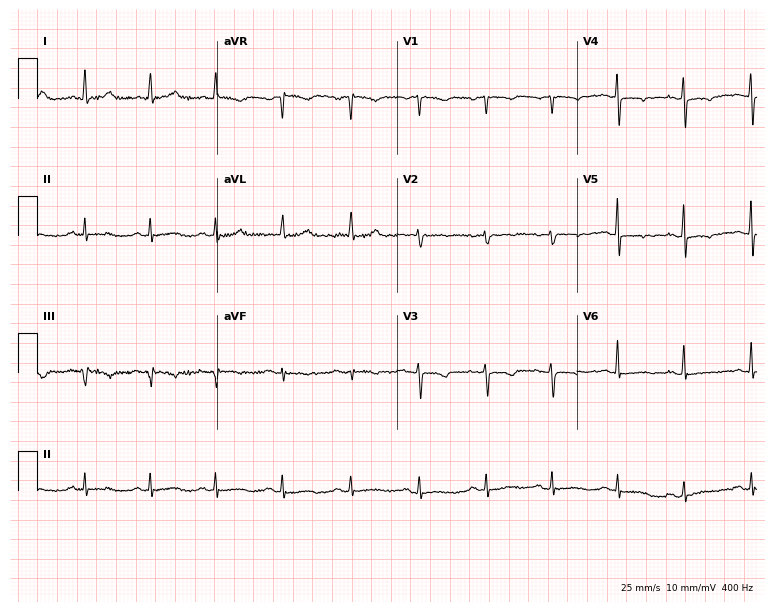
Electrocardiogram (7.3-second recording at 400 Hz), a 72-year-old woman. Of the six screened findings (first-degree AV block, right bundle branch block, left bundle branch block, sinus bradycardia, atrial fibrillation, sinus tachycardia), none is recorded.